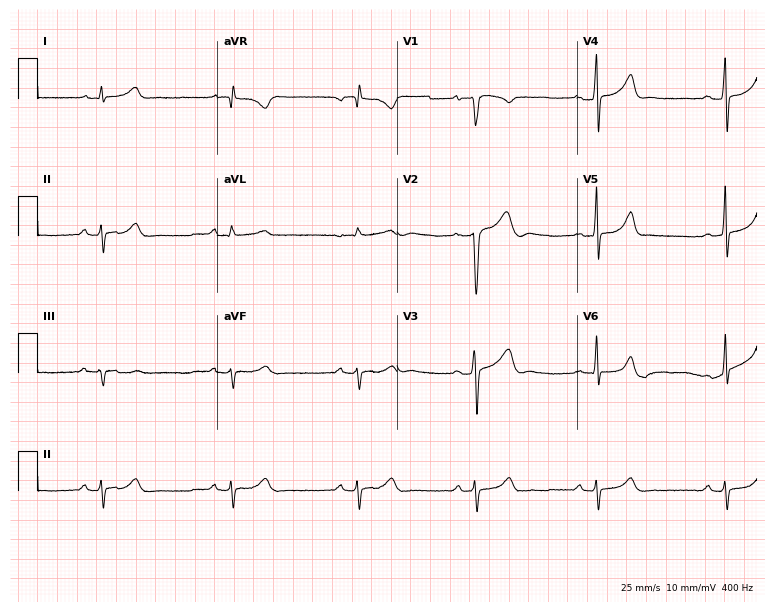
12-lead ECG (7.3-second recording at 400 Hz) from a 27-year-old male patient. Findings include sinus bradycardia (a sinus rate of 50 beats per minute or less).